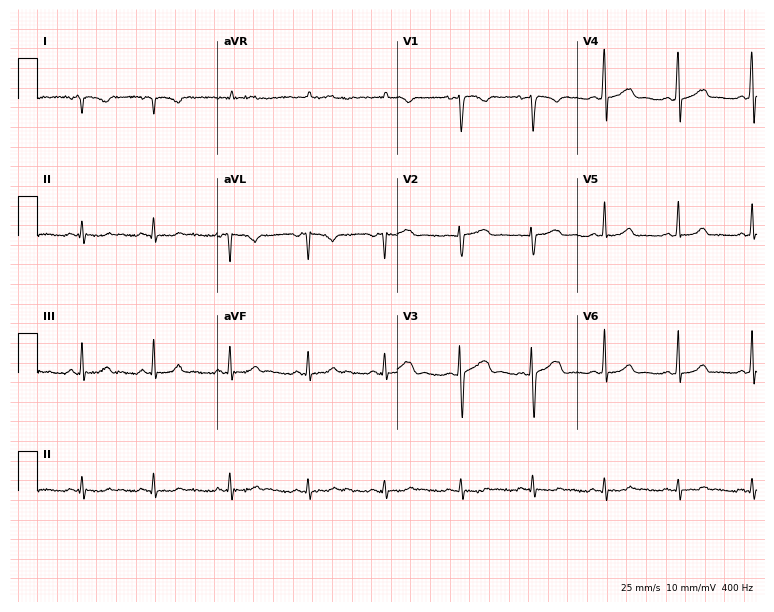
12-lead ECG from a female, 25 years old. Screened for six findings — first-degree AV block, right bundle branch block, left bundle branch block, sinus bradycardia, atrial fibrillation, sinus tachycardia — none is recorded.